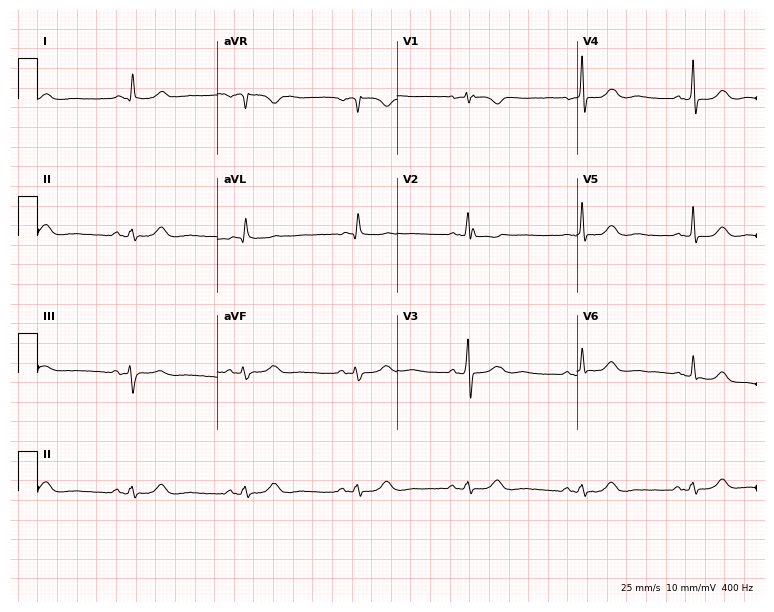
Electrocardiogram (7.3-second recording at 400 Hz), a 75-year-old female patient. Of the six screened findings (first-degree AV block, right bundle branch block, left bundle branch block, sinus bradycardia, atrial fibrillation, sinus tachycardia), none is recorded.